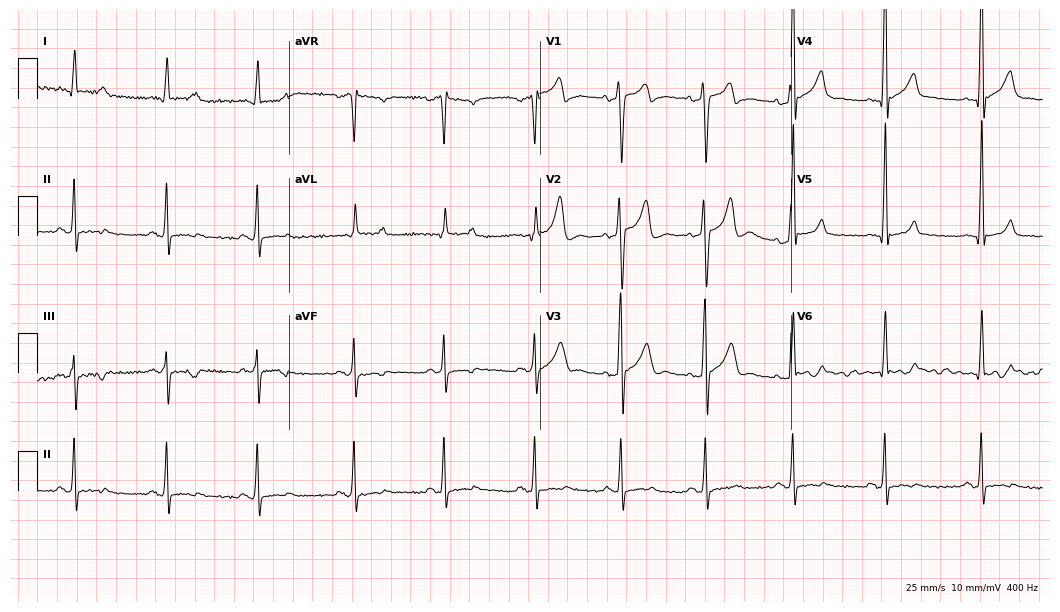
12-lead ECG (10.2-second recording at 400 Hz) from a 23-year-old male patient. Screened for six findings — first-degree AV block, right bundle branch block, left bundle branch block, sinus bradycardia, atrial fibrillation, sinus tachycardia — none is recorded. Other findings, if any, are not listed.